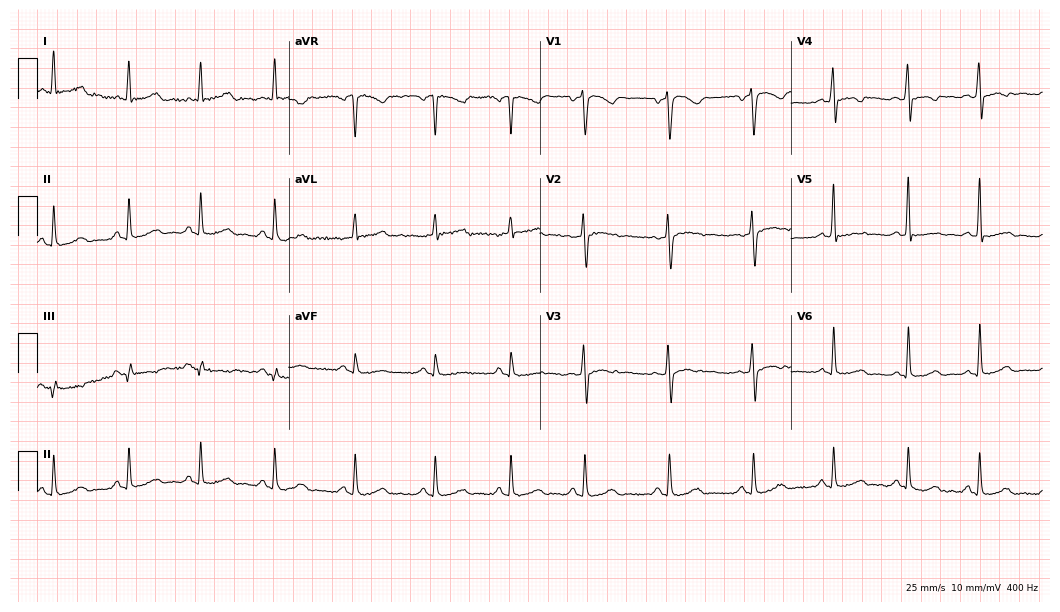
Electrocardiogram, a woman, 25 years old. Of the six screened findings (first-degree AV block, right bundle branch block (RBBB), left bundle branch block (LBBB), sinus bradycardia, atrial fibrillation (AF), sinus tachycardia), none is recorded.